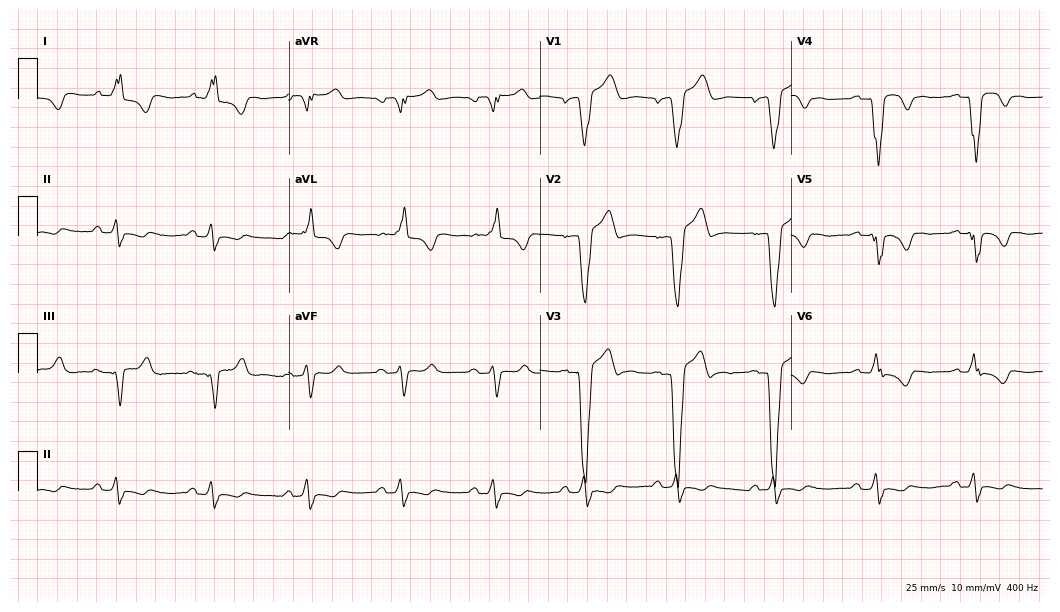
ECG (10.2-second recording at 400 Hz) — a man, 65 years old. Findings include left bundle branch block.